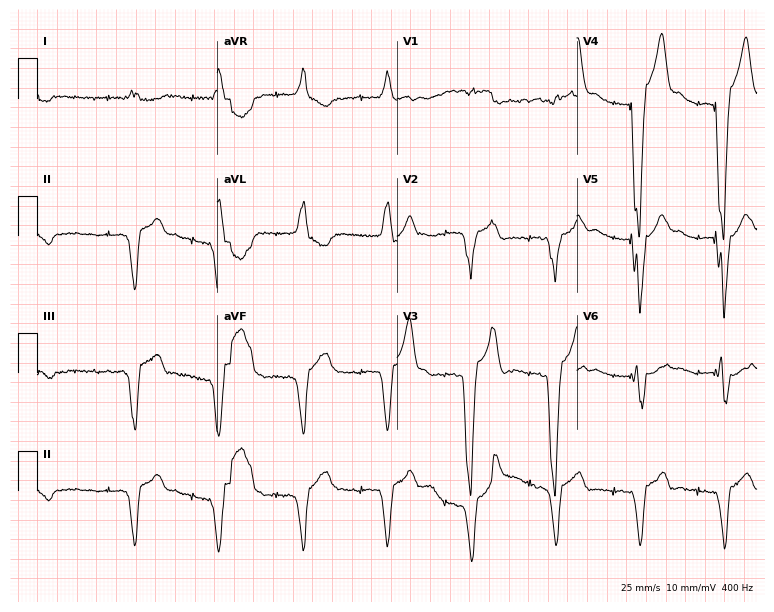
12-lead ECG from a male, 84 years old (7.3-second recording at 400 Hz). No first-degree AV block, right bundle branch block (RBBB), left bundle branch block (LBBB), sinus bradycardia, atrial fibrillation (AF) or sinus tachycardia recorded for this tracing. Only these six findings were labelled.